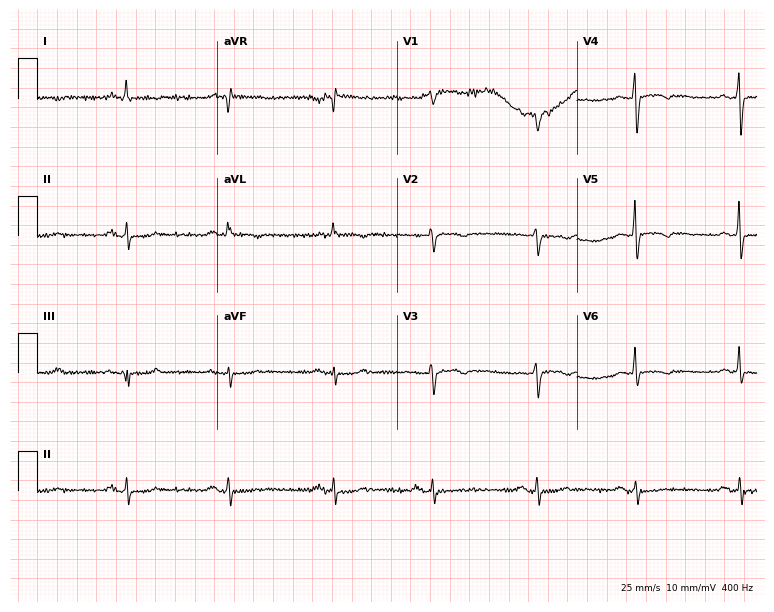
Standard 12-lead ECG recorded from a 59-year-old female patient (7.3-second recording at 400 Hz). None of these six findings is recorded: first-degree AV block, right bundle branch block (RBBB), left bundle branch block (LBBB), sinus bradycardia, atrial fibrillation (AF), sinus tachycardia.